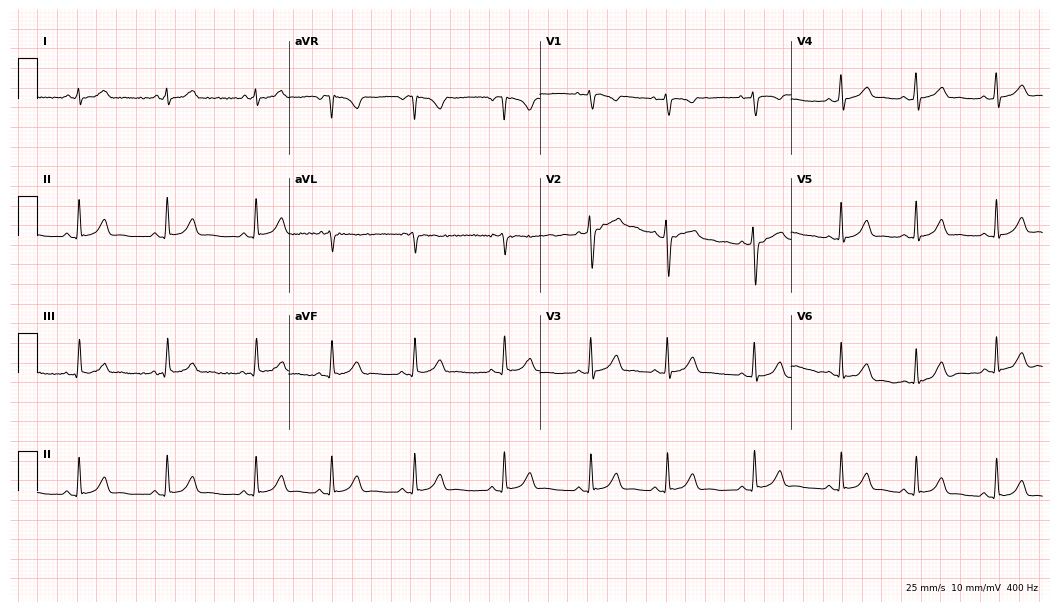
Standard 12-lead ECG recorded from a female, 29 years old. Read as a normal ECG.